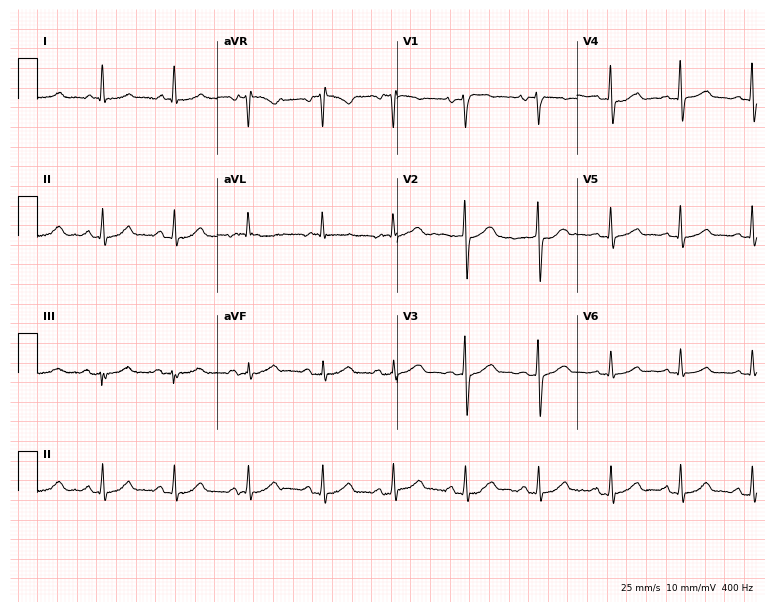
Resting 12-lead electrocardiogram. Patient: a female, 55 years old. Read as a normal ECG.